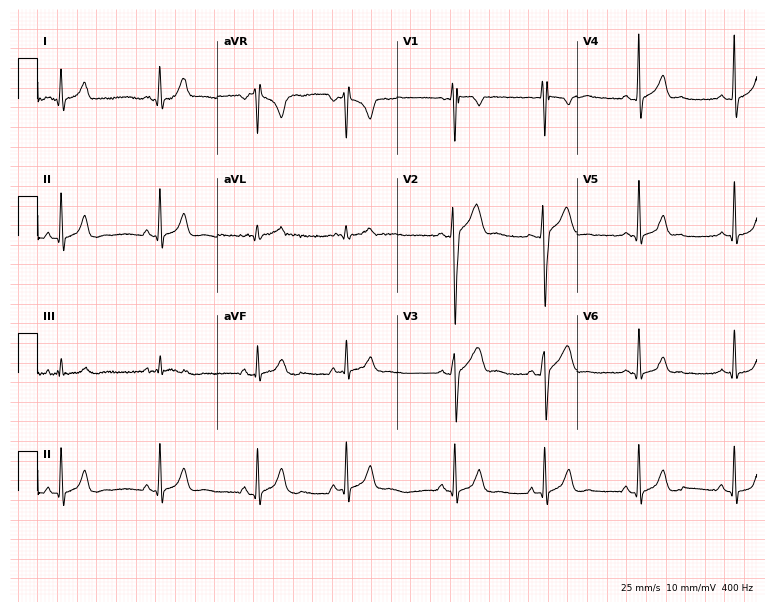
12-lead ECG from a 21-year-old man. Labelled as a normal ECG.